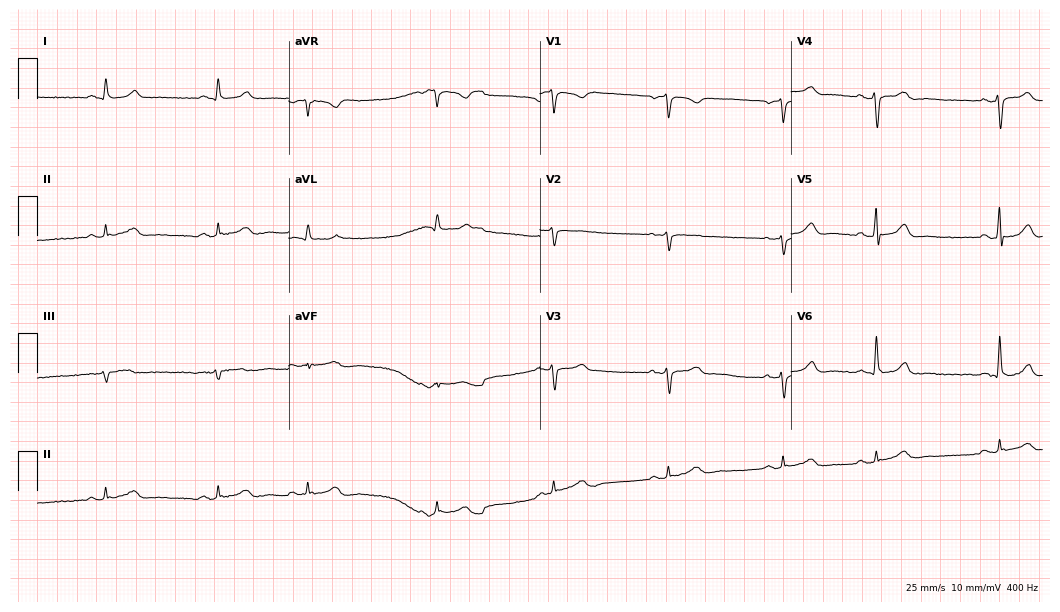
Electrocardiogram, a 53-year-old man. Of the six screened findings (first-degree AV block, right bundle branch block, left bundle branch block, sinus bradycardia, atrial fibrillation, sinus tachycardia), none is recorded.